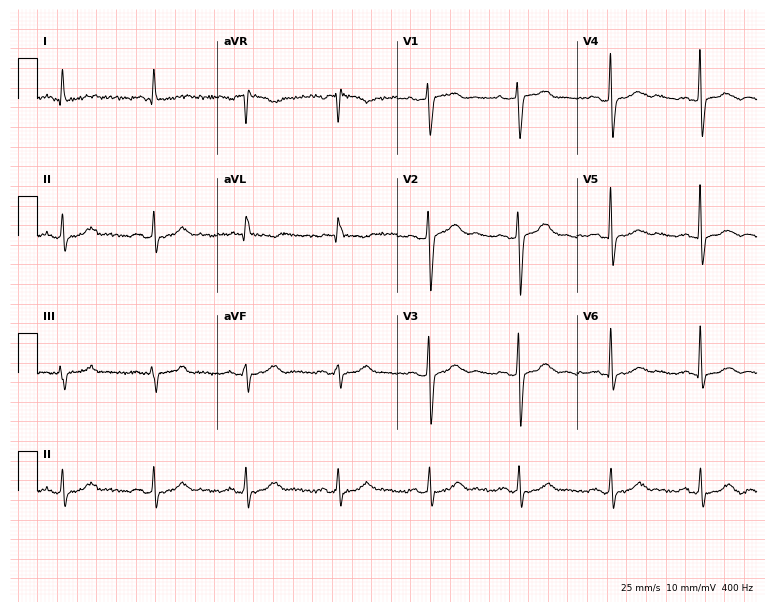
Resting 12-lead electrocardiogram. Patient: a 79-year-old female. None of these six findings is recorded: first-degree AV block, right bundle branch block, left bundle branch block, sinus bradycardia, atrial fibrillation, sinus tachycardia. Findings outside these six are not listed.